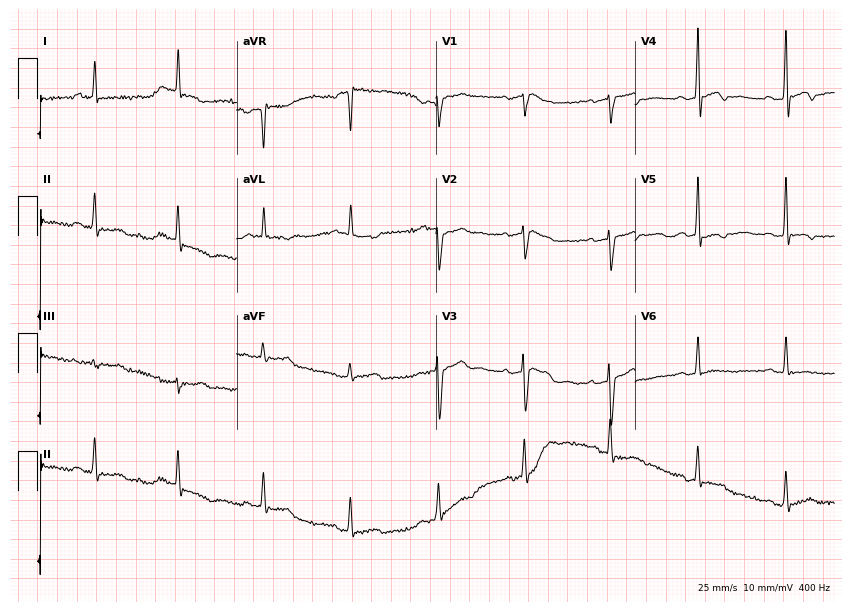
12-lead ECG from a male patient, 57 years old. Screened for six findings — first-degree AV block, right bundle branch block, left bundle branch block, sinus bradycardia, atrial fibrillation, sinus tachycardia — none is recorded. Findings outside these six are not listed.